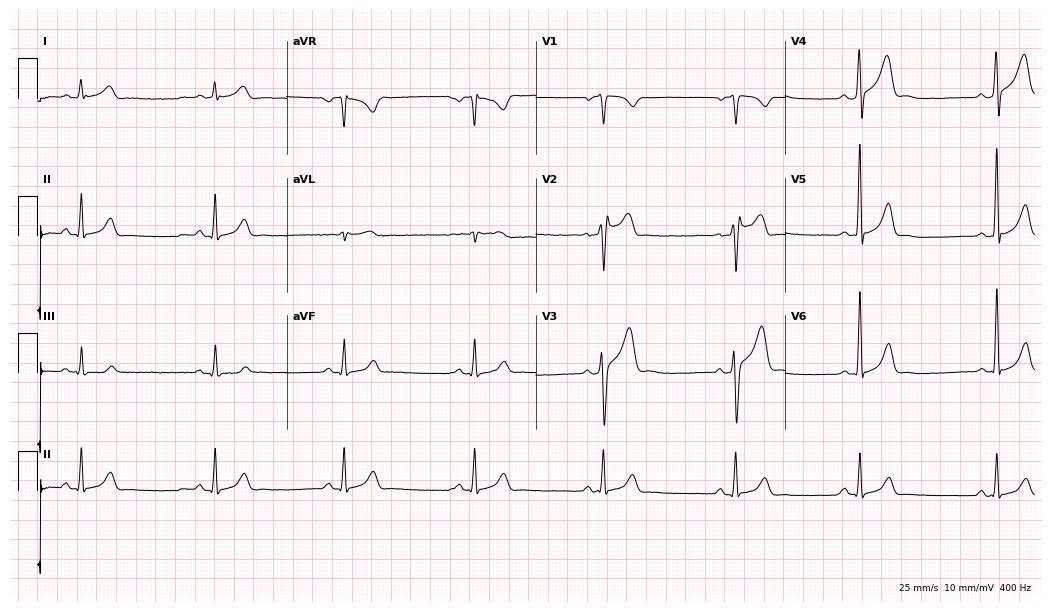
12-lead ECG from a male patient, 32 years old. Screened for six findings — first-degree AV block, right bundle branch block, left bundle branch block, sinus bradycardia, atrial fibrillation, sinus tachycardia — none is recorded.